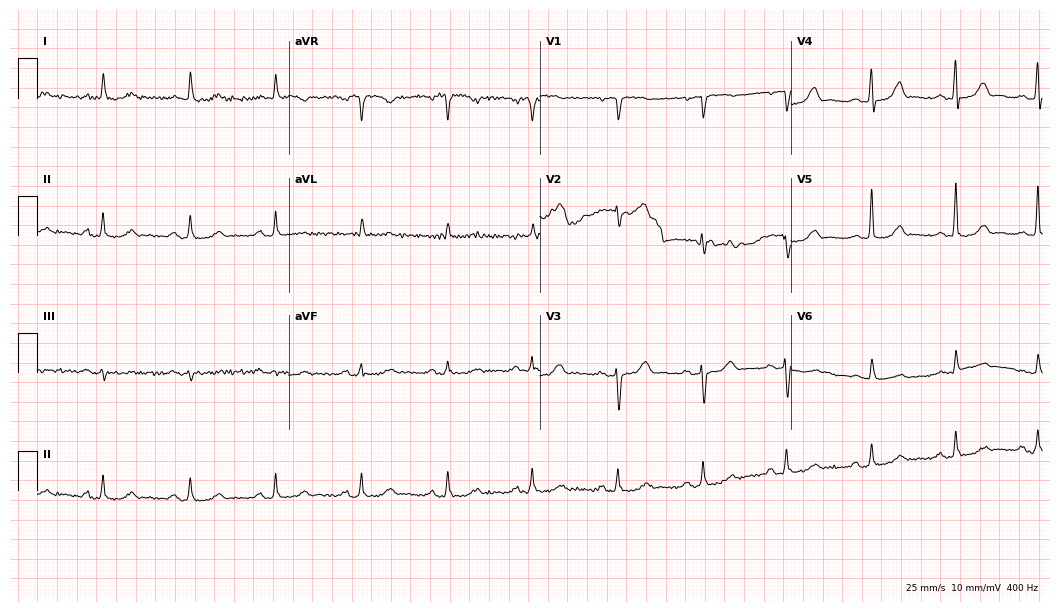
Standard 12-lead ECG recorded from a female patient, 78 years old (10.2-second recording at 400 Hz). Read as a normal ECG.